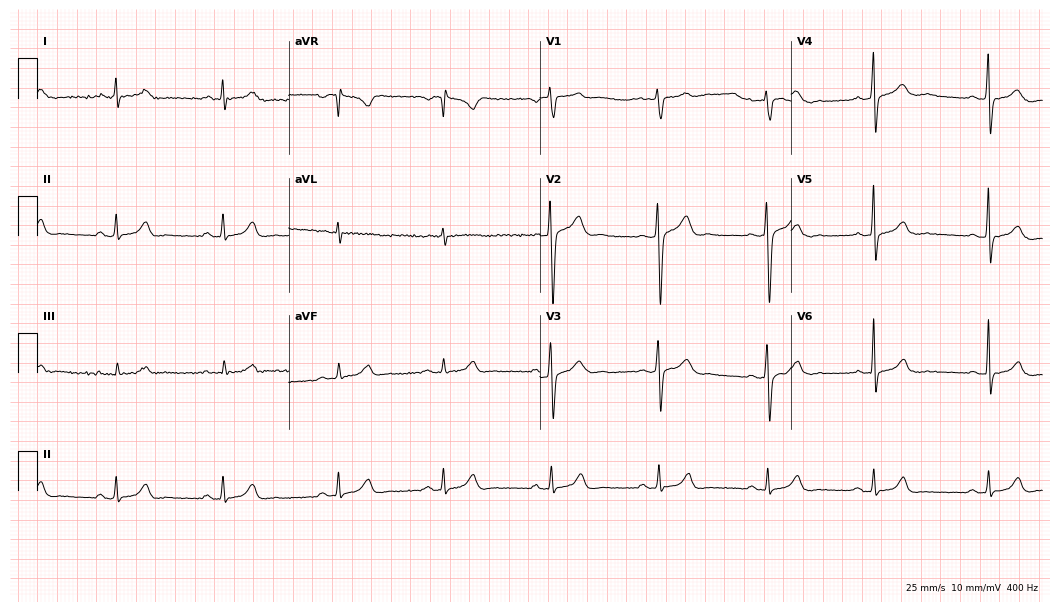
Standard 12-lead ECG recorded from a male, 34 years old. Read as a normal ECG.